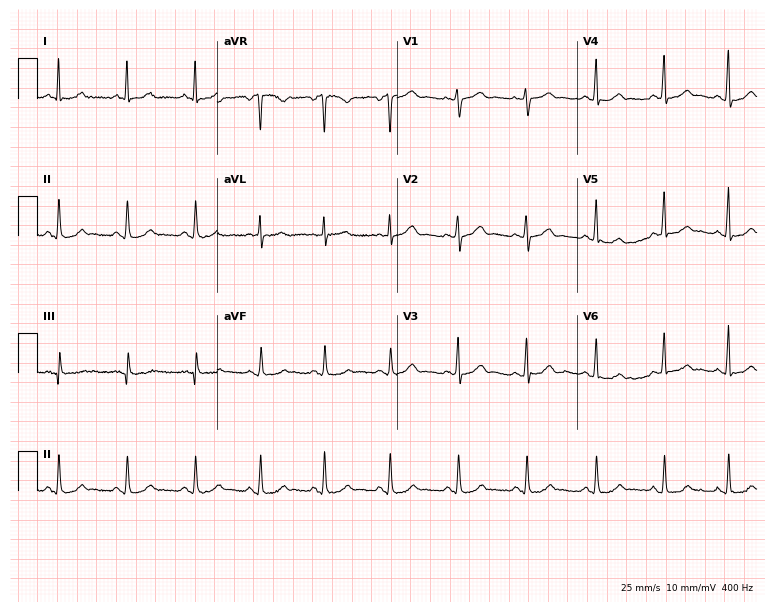
Electrocardiogram (7.3-second recording at 400 Hz), a woman, 45 years old. Overall reading on record: normal ECG.